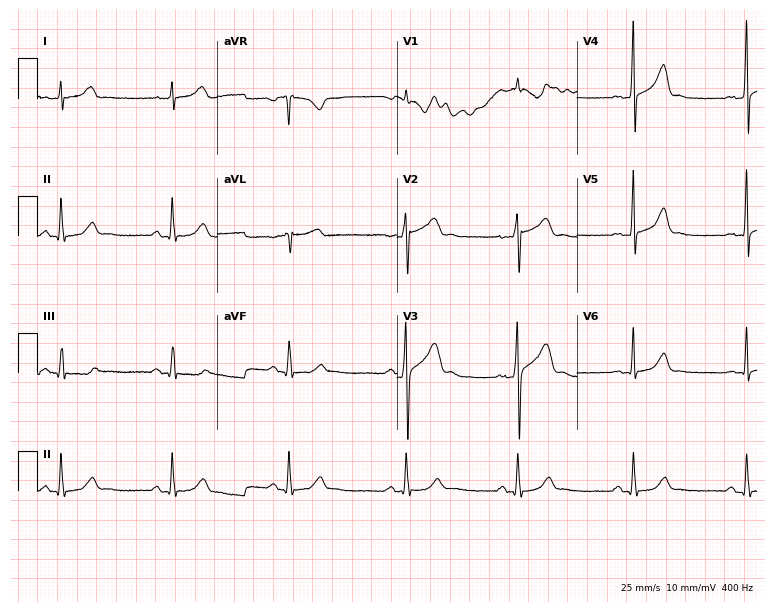
Standard 12-lead ECG recorded from a 34-year-old male patient. Read as a normal ECG.